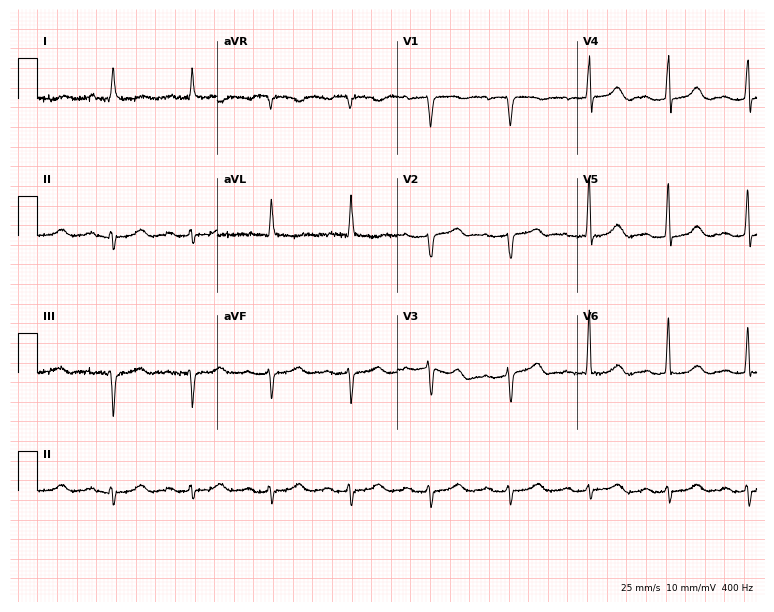
12-lead ECG (7.3-second recording at 400 Hz) from a 76-year-old man. Findings include first-degree AV block.